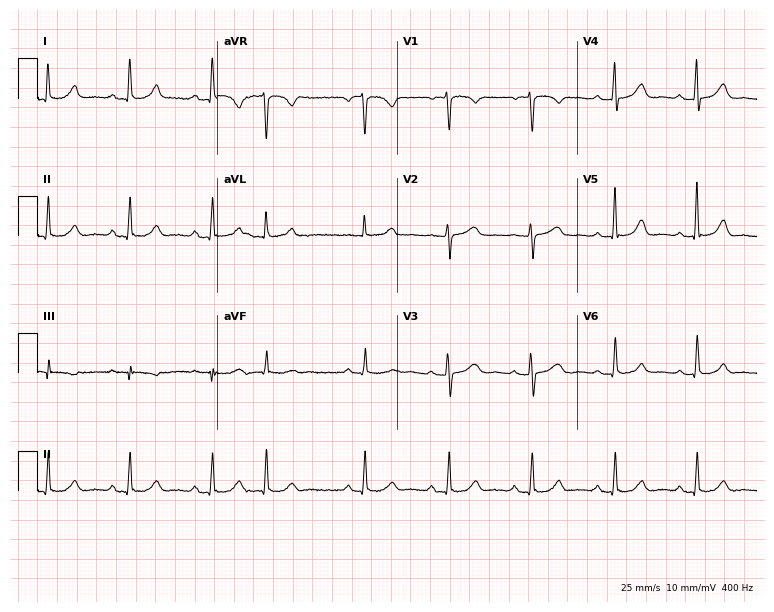
ECG — a 69-year-old female. Screened for six findings — first-degree AV block, right bundle branch block (RBBB), left bundle branch block (LBBB), sinus bradycardia, atrial fibrillation (AF), sinus tachycardia — none is recorded. Only these six findings were labelled.